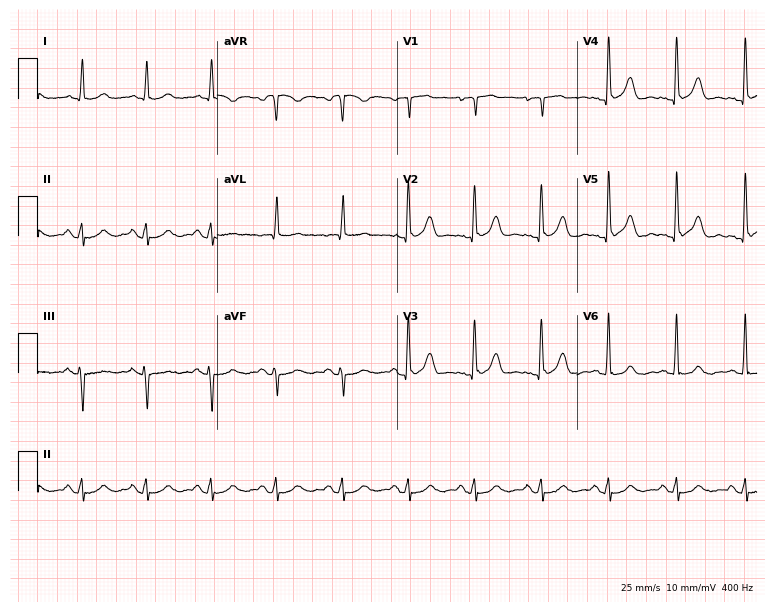
12-lead ECG from an 81-year-old man. Labelled as a normal ECG.